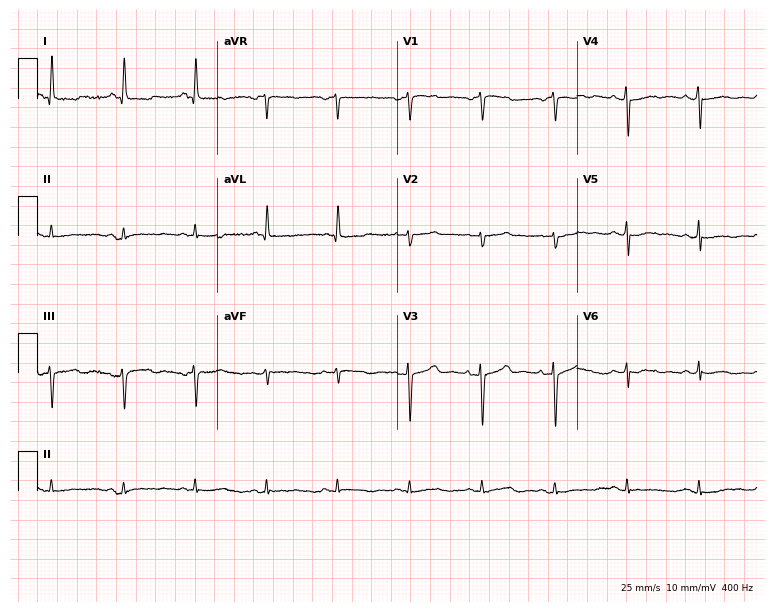
Standard 12-lead ECG recorded from a 79-year-old woman. None of these six findings is recorded: first-degree AV block, right bundle branch block (RBBB), left bundle branch block (LBBB), sinus bradycardia, atrial fibrillation (AF), sinus tachycardia.